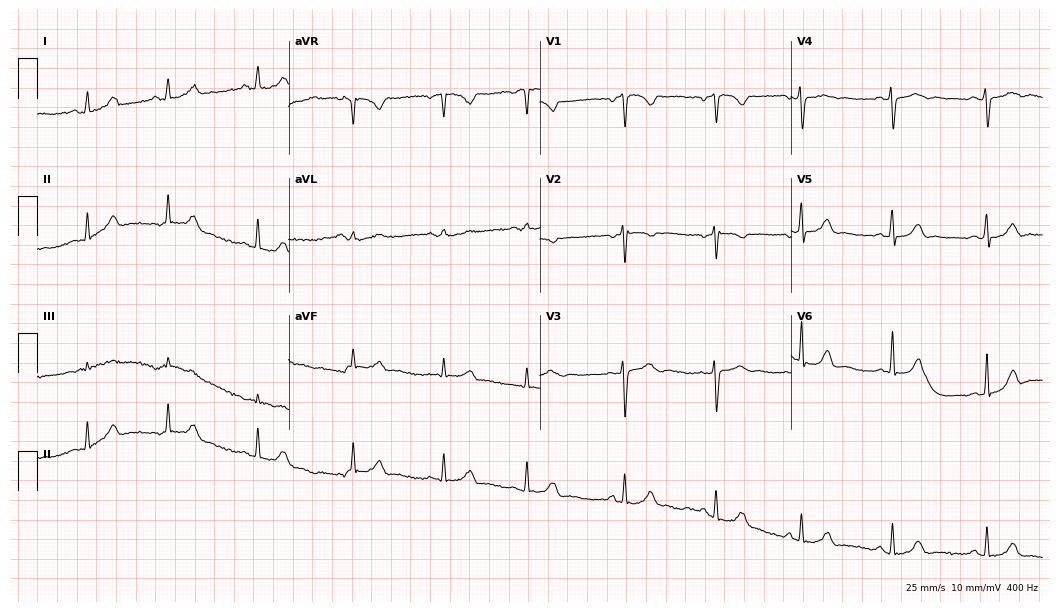
Resting 12-lead electrocardiogram. Patient: a 21-year-old woman. Read as a normal ECG.